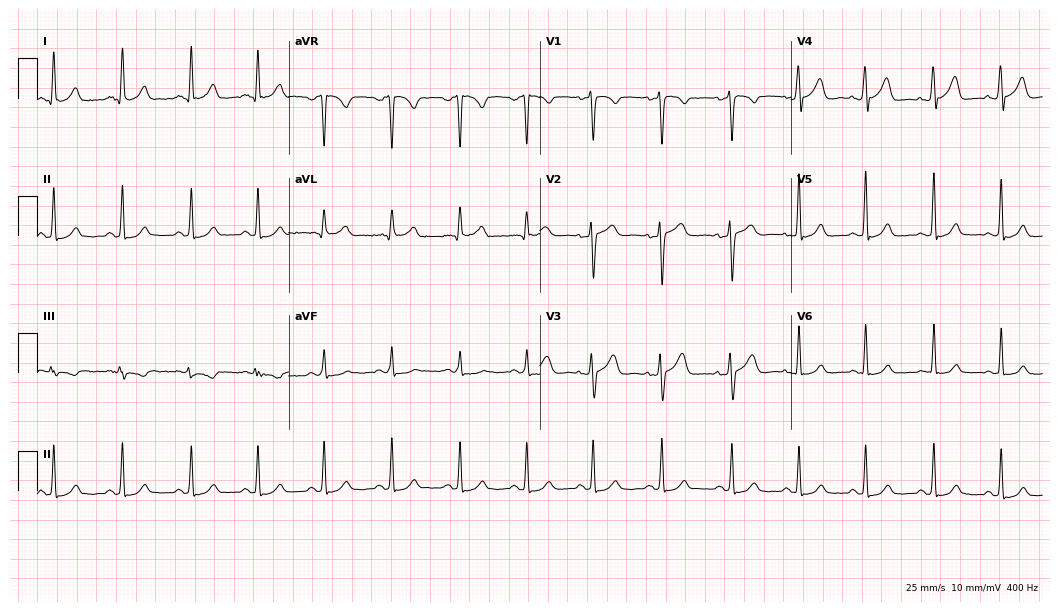
12-lead ECG from a 47-year-old female. Labelled as a normal ECG.